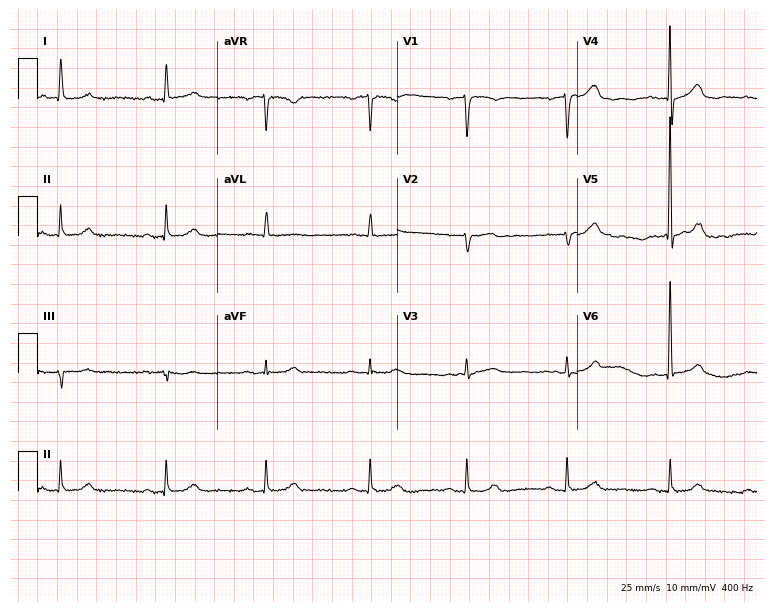
12-lead ECG (7.3-second recording at 400 Hz) from a woman, 71 years old. Screened for six findings — first-degree AV block, right bundle branch block (RBBB), left bundle branch block (LBBB), sinus bradycardia, atrial fibrillation (AF), sinus tachycardia — none is recorded. Other findings, if any, are not listed.